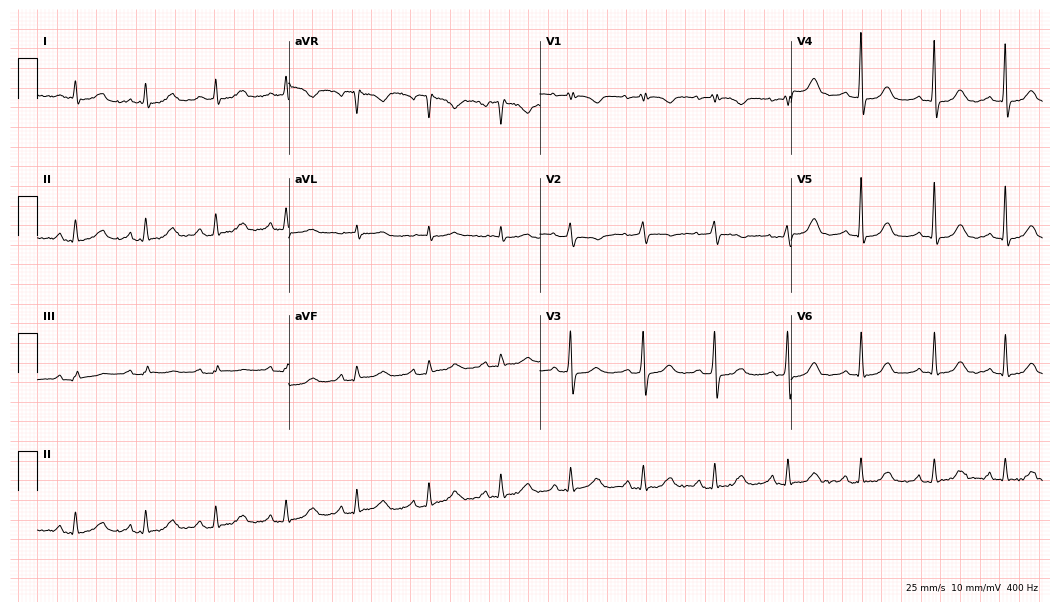
ECG — an 82-year-old female patient. Screened for six findings — first-degree AV block, right bundle branch block (RBBB), left bundle branch block (LBBB), sinus bradycardia, atrial fibrillation (AF), sinus tachycardia — none is recorded.